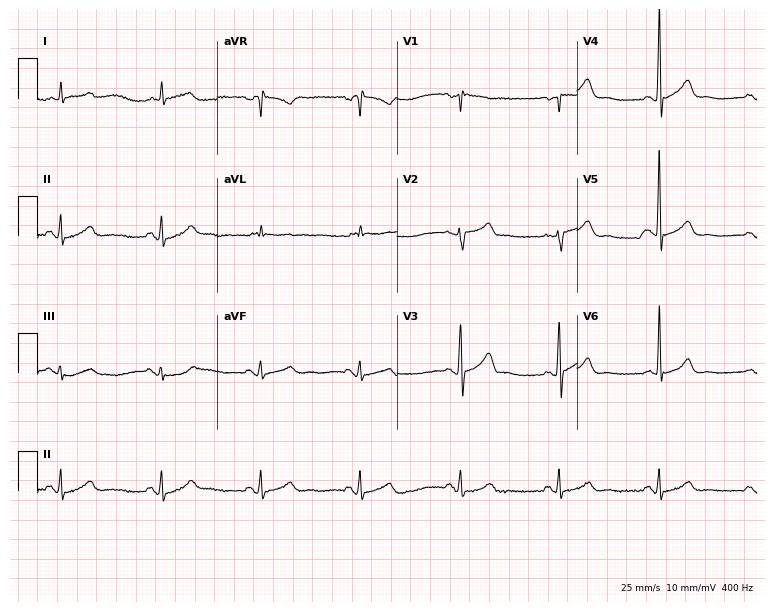
Electrocardiogram (7.3-second recording at 400 Hz), a 67-year-old male. Overall reading on record: normal ECG.